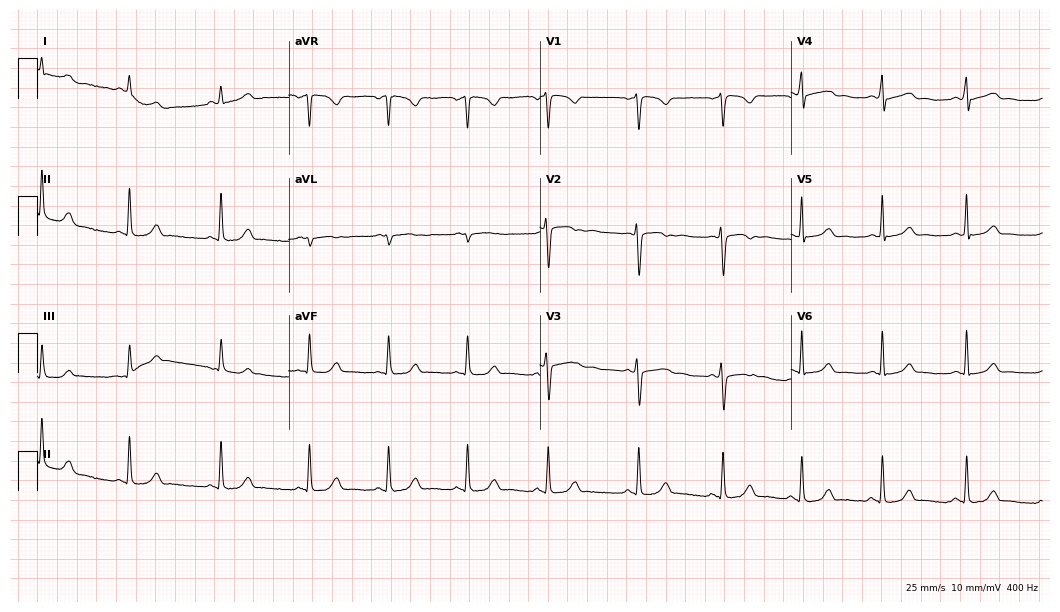
Resting 12-lead electrocardiogram. Patient: a 21-year-old woman. Read as a normal ECG.